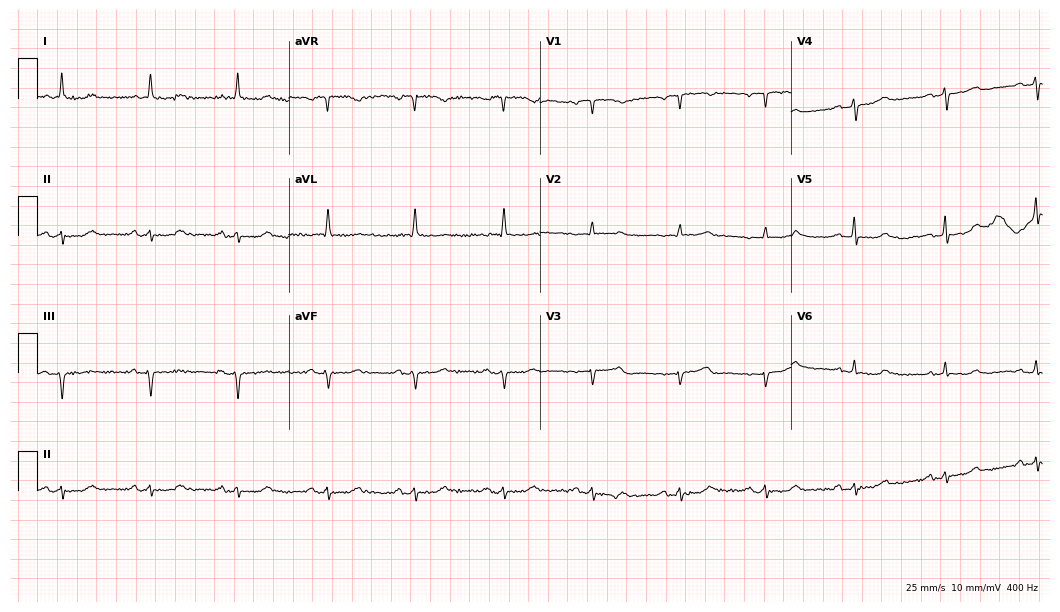
Electrocardiogram (10.2-second recording at 400 Hz), a 73-year-old woman. Of the six screened findings (first-degree AV block, right bundle branch block, left bundle branch block, sinus bradycardia, atrial fibrillation, sinus tachycardia), none is recorded. Only these six findings were labelled.